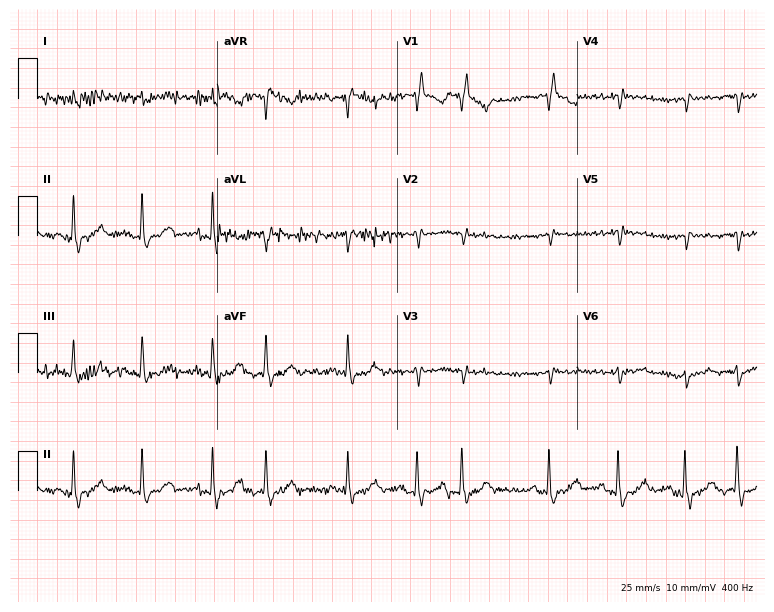
12-lead ECG (7.3-second recording at 400 Hz) from a male, 82 years old. Findings include atrial fibrillation.